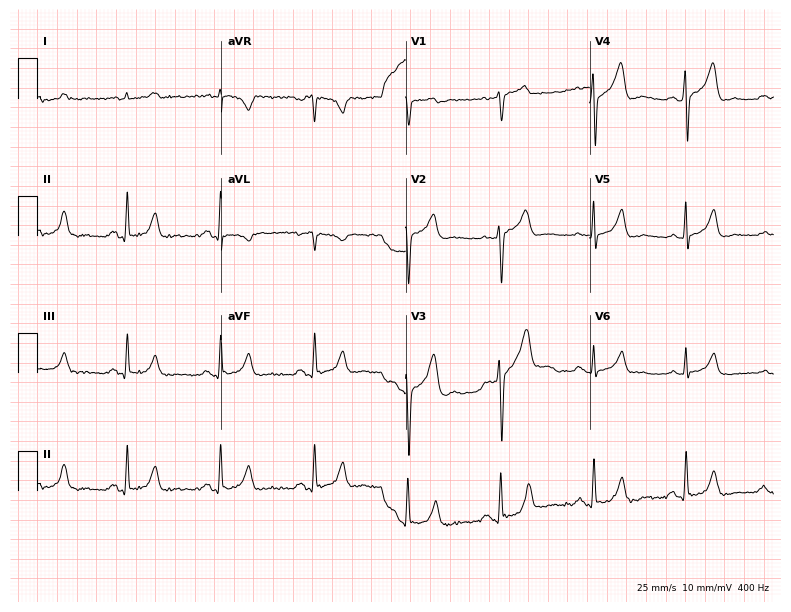
12-lead ECG from a 76-year-old male patient (7.5-second recording at 400 Hz). Recorded interpretation: within normal limits.